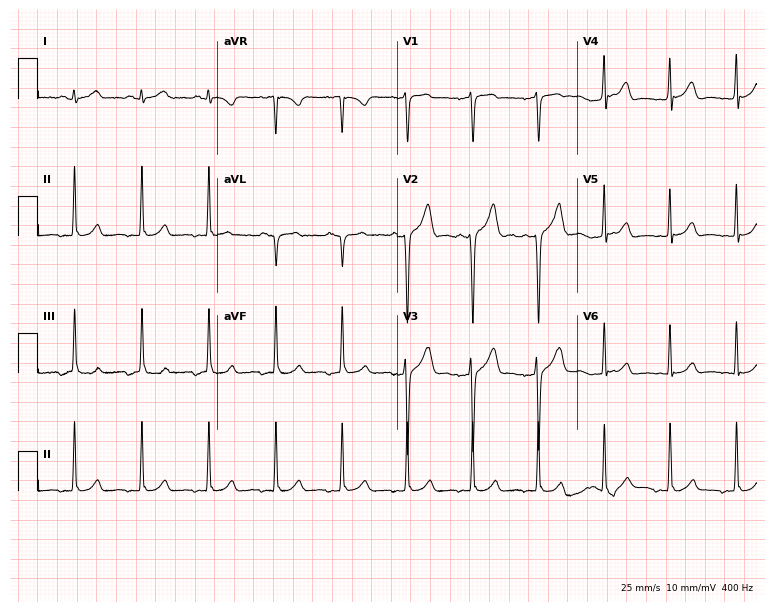
Standard 12-lead ECG recorded from a 23-year-old male (7.3-second recording at 400 Hz). None of these six findings is recorded: first-degree AV block, right bundle branch block, left bundle branch block, sinus bradycardia, atrial fibrillation, sinus tachycardia. Only these six findings were labelled.